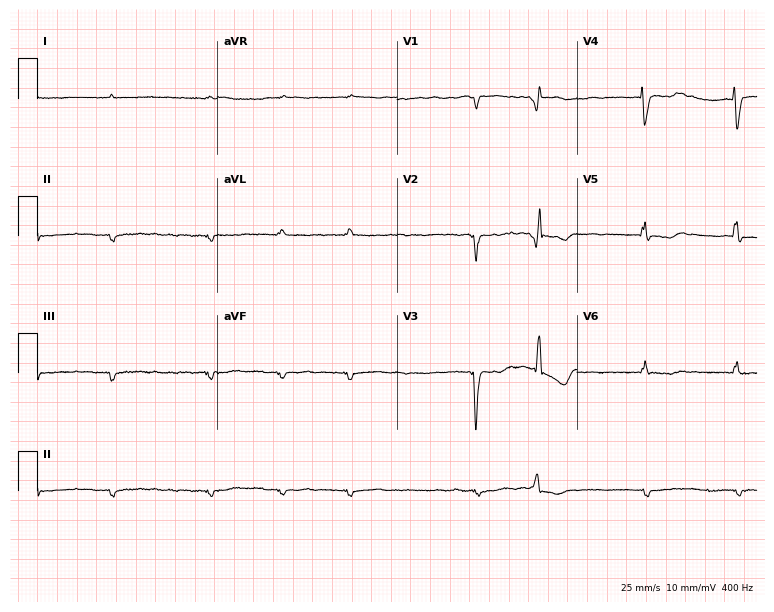
12-lead ECG from a man, 83 years old. Screened for six findings — first-degree AV block, right bundle branch block (RBBB), left bundle branch block (LBBB), sinus bradycardia, atrial fibrillation (AF), sinus tachycardia — none is recorded.